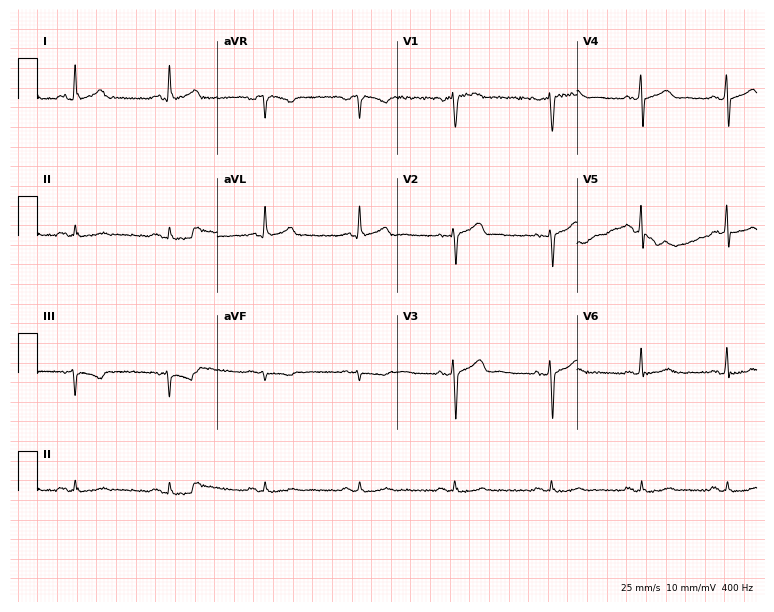
Resting 12-lead electrocardiogram. Patient: a male, 43 years old. None of these six findings is recorded: first-degree AV block, right bundle branch block, left bundle branch block, sinus bradycardia, atrial fibrillation, sinus tachycardia. Only these six findings were labelled.